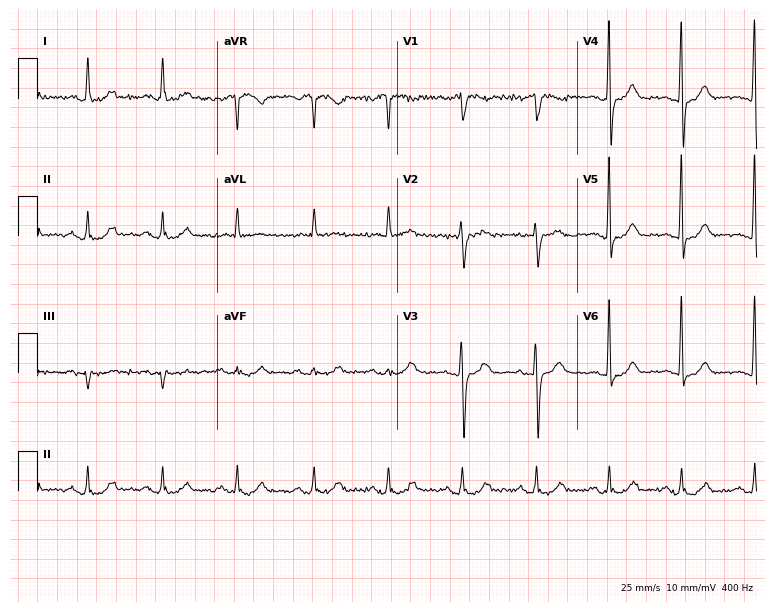
Electrocardiogram (7.3-second recording at 400 Hz), a female patient, 67 years old. Of the six screened findings (first-degree AV block, right bundle branch block (RBBB), left bundle branch block (LBBB), sinus bradycardia, atrial fibrillation (AF), sinus tachycardia), none is recorded.